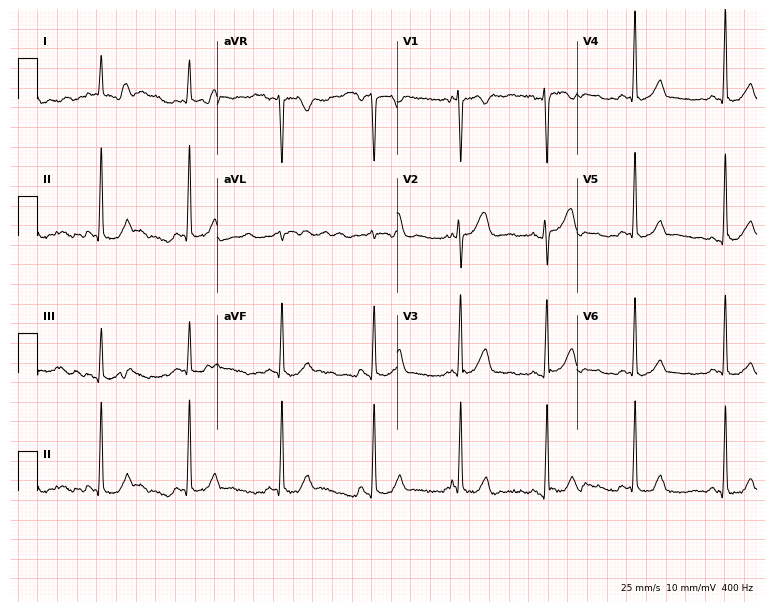
ECG (7.3-second recording at 400 Hz) — a 34-year-old female. Labelled as a normal ECG.